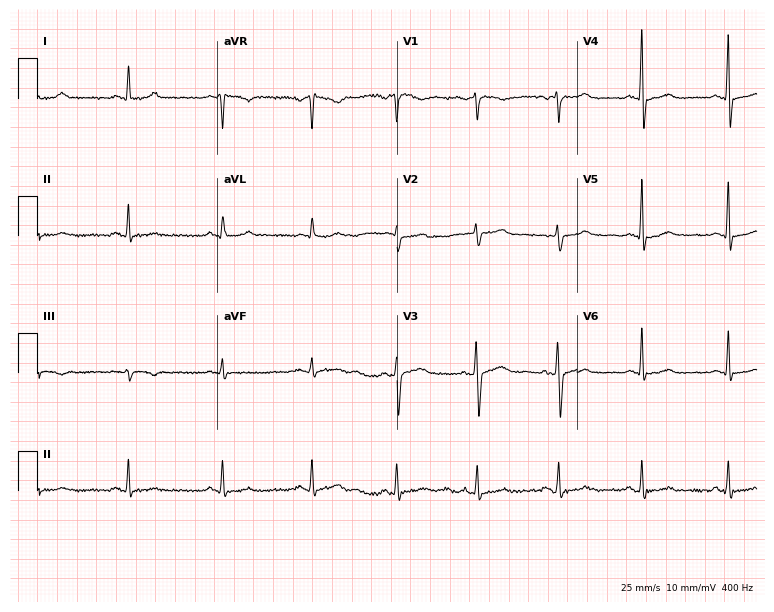
12-lead ECG (7.3-second recording at 400 Hz) from a female patient, 50 years old. Screened for six findings — first-degree AV block, right bundle branch block (RBBB), left bundle branch block (LBBB), sinus bradycardia, atrial fibrillation (AF), sinus tachycardia — none is recorded. Findings outside these six are not listed.